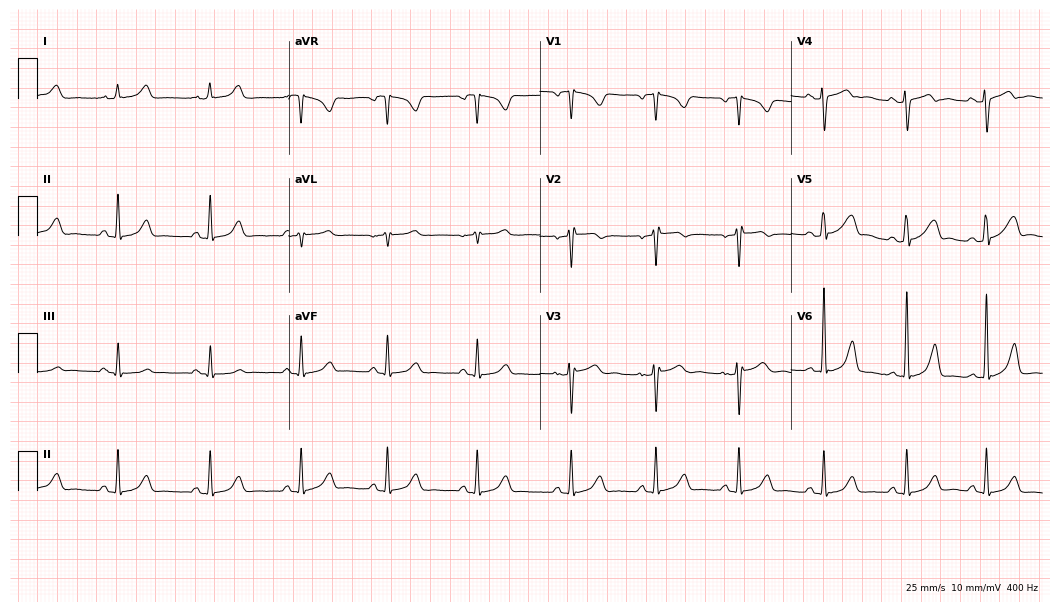
Standard 12-lead ECG recorded from a 26-year-old woman. None of these six findings is recorded: first-degree AV block, right bundle branch block, left bundle branch block, sinus bradycardia, atrial fibrillation, sinus tachycardia.